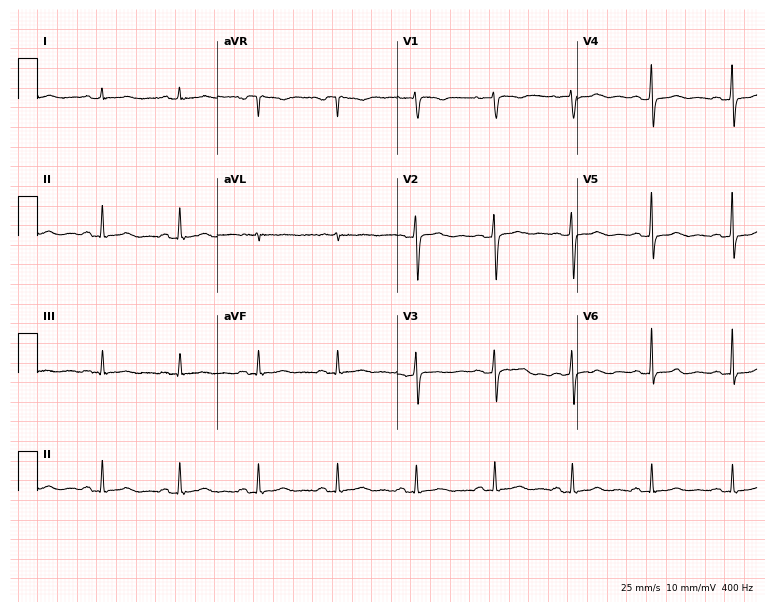
ECG — a 52-year-old female patient. Screened for six findings — first-degree AV block, right bundle branch block, left bundle branch block, sinus bradycardia, atrial fibrillation, sinus tachycardia — none is recorded. Findings outside these six are not listed.